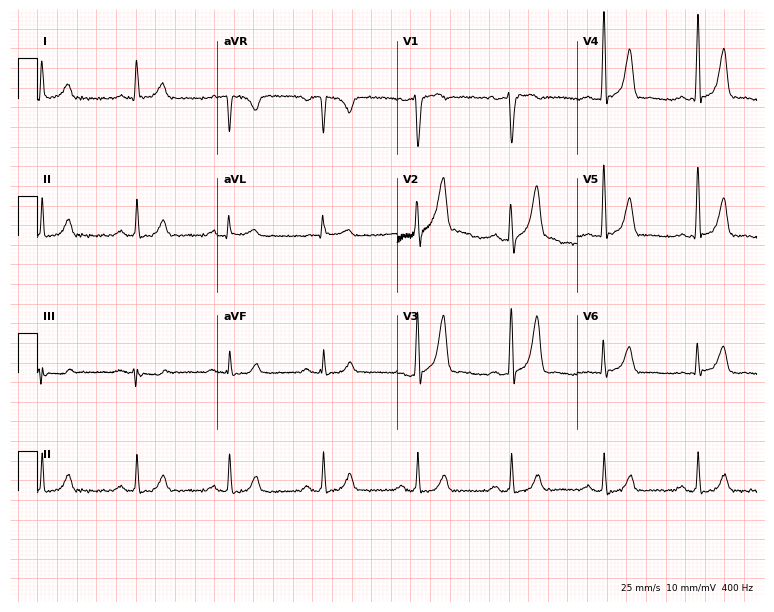
Standard 12-lead ECG recorded from a male, 46 years old. Read as a normal ECG.